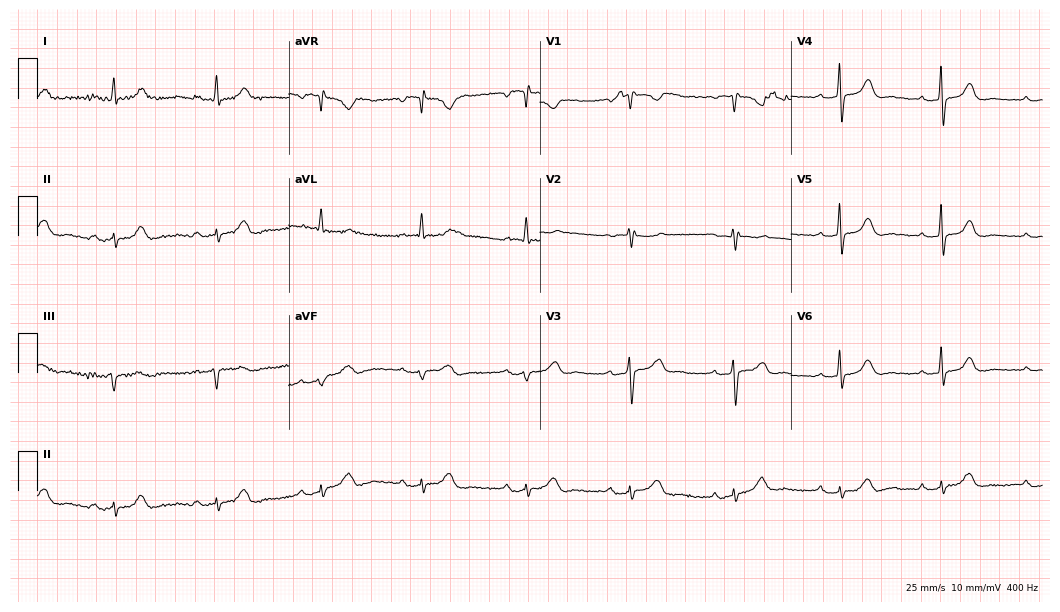
Standard 12-lead ECG recorded from a female, 66 years old. The tracing shows first-degree AV block.